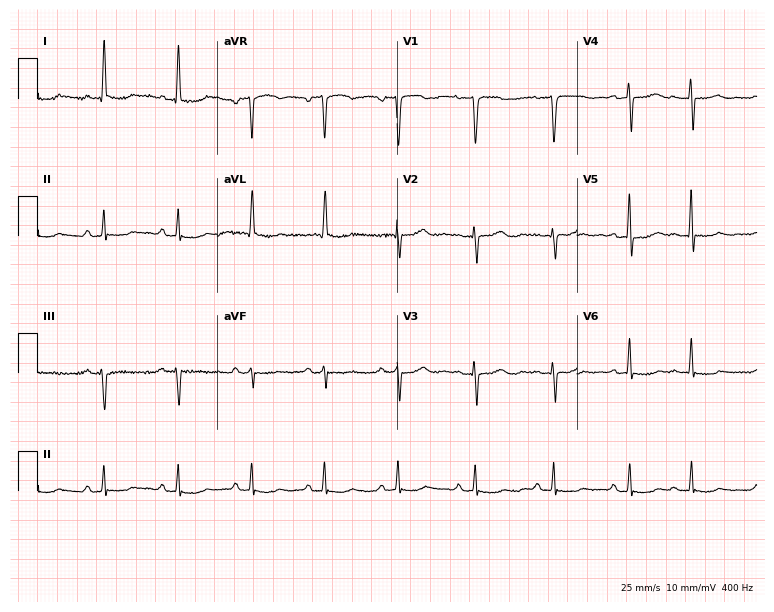
Standard 12-lead ECG recorded from a 70-year-old female patient (7.3-second recording at 400 Hz). None of these six findings is recorded: first-degree AV block, right bundle branch block, left bundle branch block, sinus bradycardia, atrial fibrillation, sinus tachycardia. Findings outside these six are not listed.